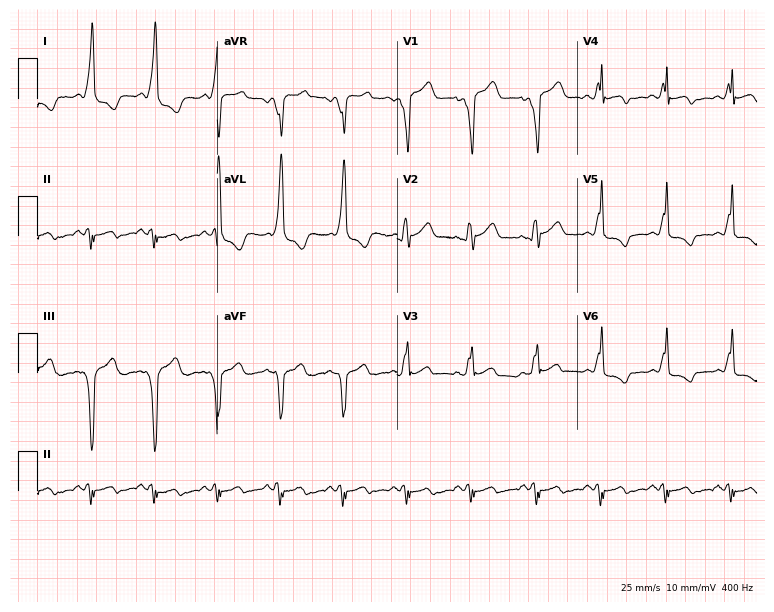
12-lead ECG from a female patient, 48 years old (7.3-second recording at 400 Hz). Shows left bundle branch block (LBBB).